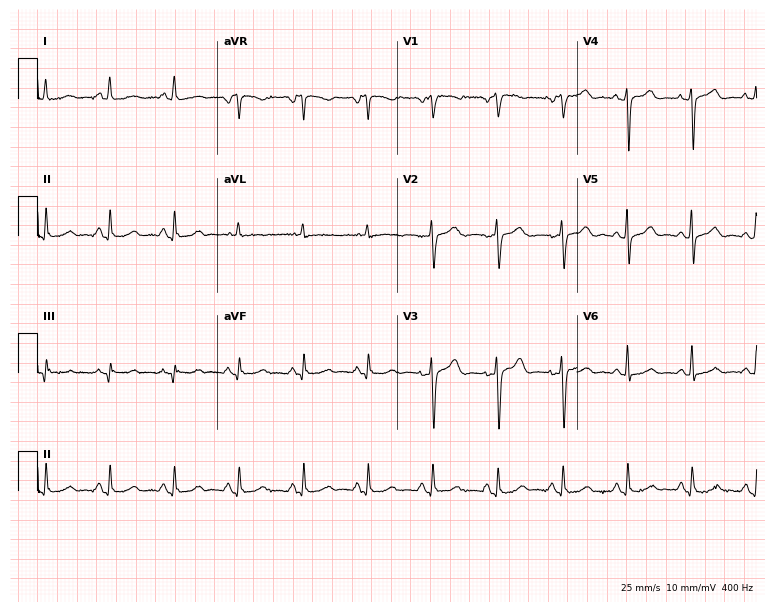
Resting 12-lead electrocardiogram (7.3-second recording at 400 Hz). Patient: a 68-year-old female. Read as a normal ECG.